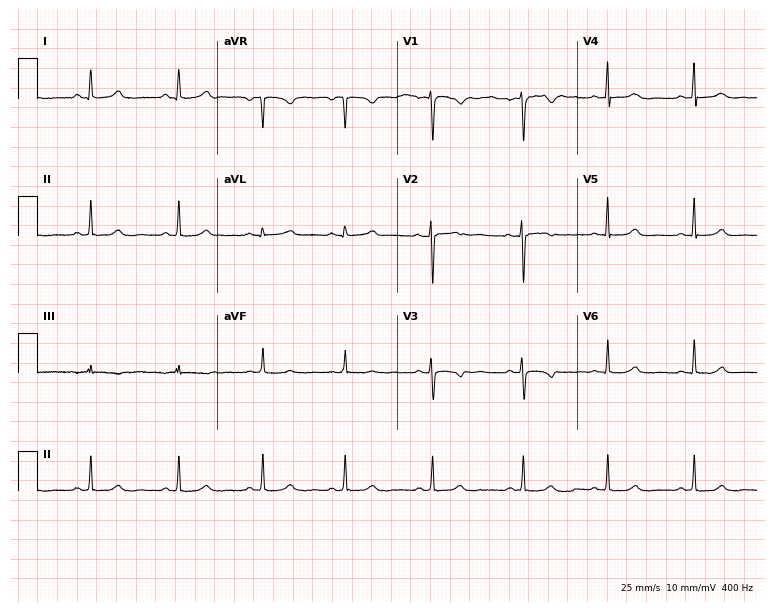
12-lead ECG (7.3-second recording at 400 Hz) from a female, 30 years old. Screened for six findings — first-degree AV block, right bundle branch block (RBBB), left bundle branch block (LBBB), sinus bradycardia, atrial fibrillation (AF), sinus tachycardia — none is recorded.